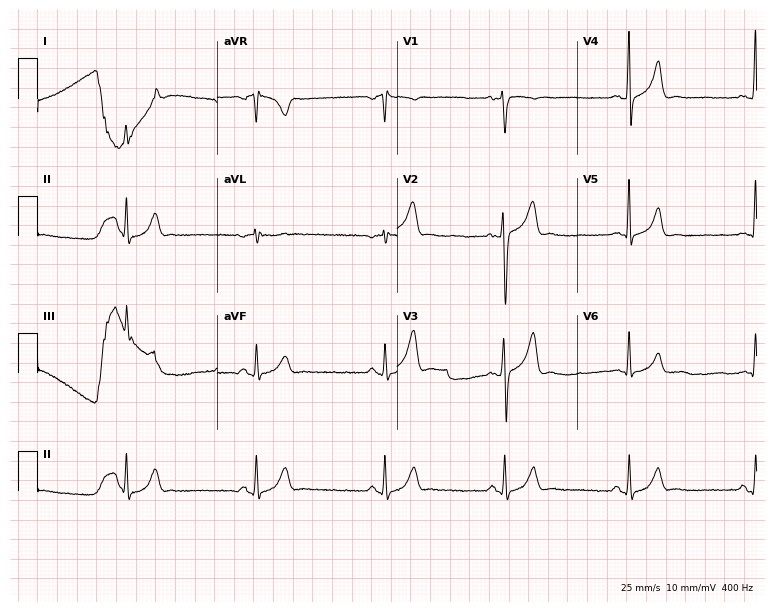
Electrocardiogram, a 42-year-old male patient. Interpretation includes sinus bradycardia (a sinus rate of 50 beats per minute or less).